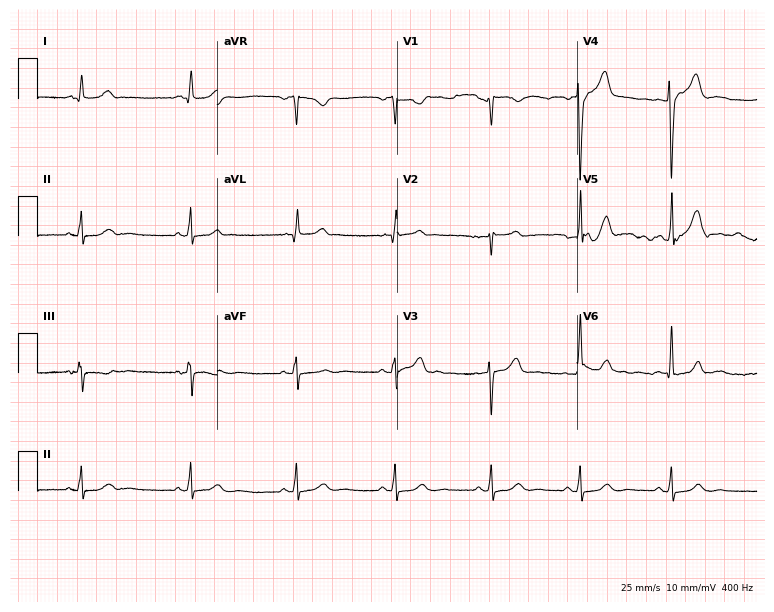
Resting 12-lead electrocardiogram (7.3-second recording at 400 Hz). Patient: a woman, 31 years old. None of these six findings is recorded: first-degree AV block, right bundle branch block, left bundle branch block, sinus bradycardia, atrial fibrillation, sinus tachycardia. Findings outside these six are not listed.